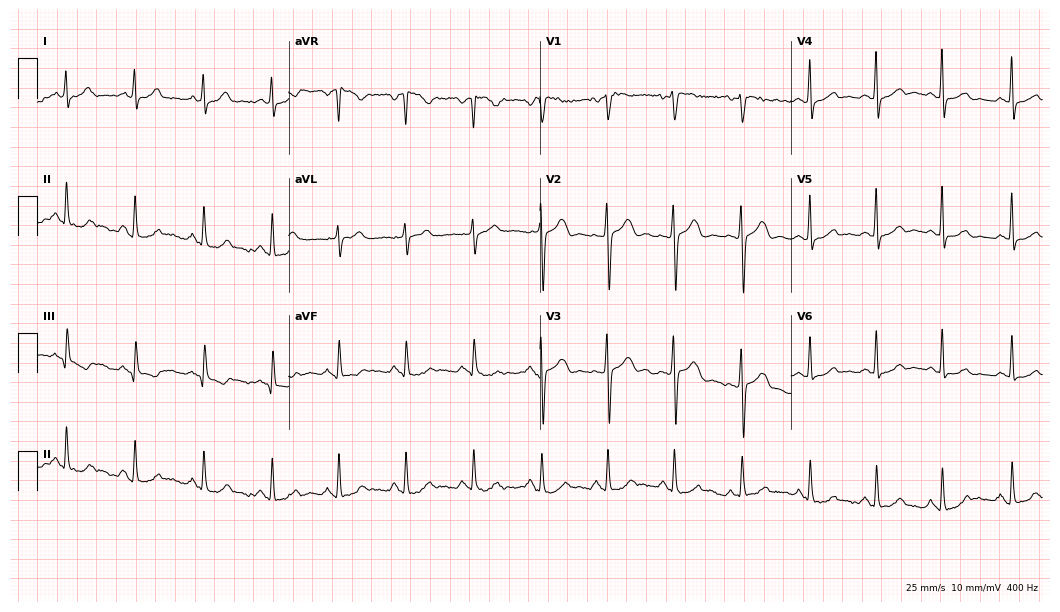
12-lead ECG (10.2-second recording at 400 Hz) from a 46-year-old woman. Labelled as a normal ECG.